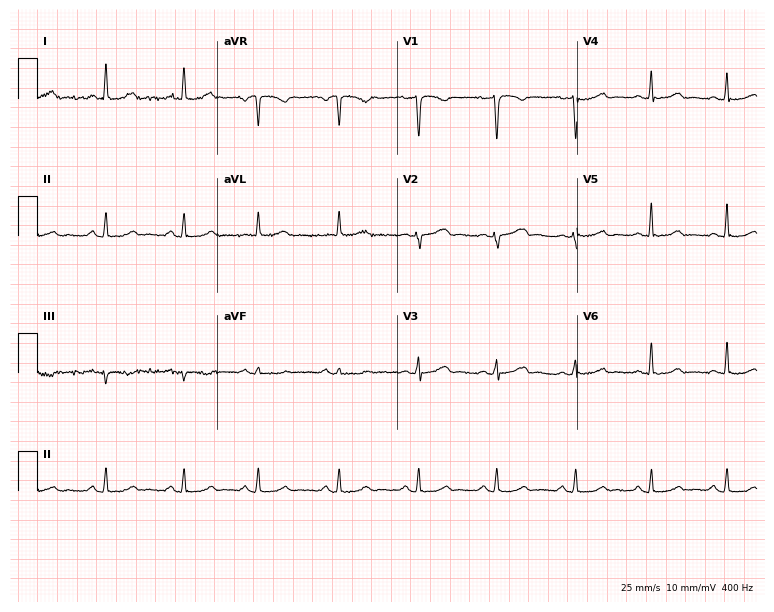
12-lead ECG from a female, 46 years old (7.3-second recording at 400 Hz). Recorded interpretation: within normal limits.